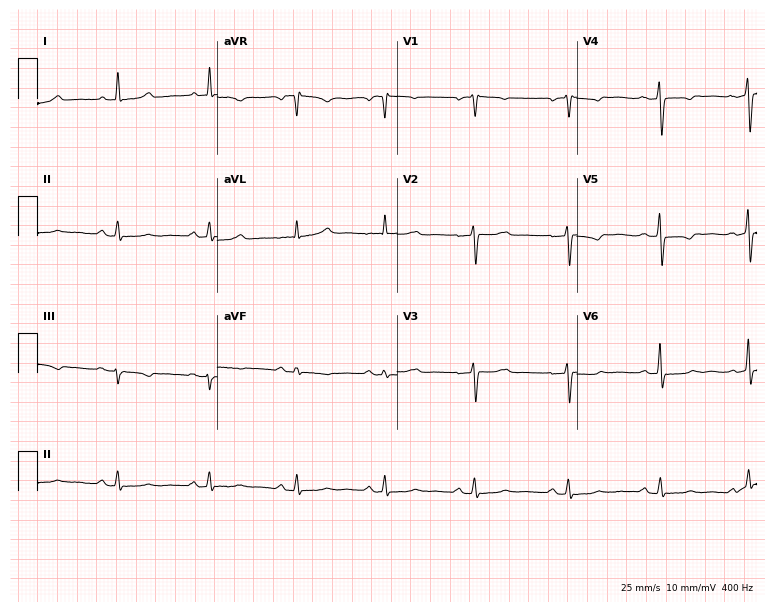
Electrocardiogram, a woman, 47 years old. Of the six screened findings (first-degree AV block, right bundle branch block, left bundle branch block, sinus bradycardia, atrial fibrillation, sinus tachycardia), none is recorded. Other findings, if any, are not listed.